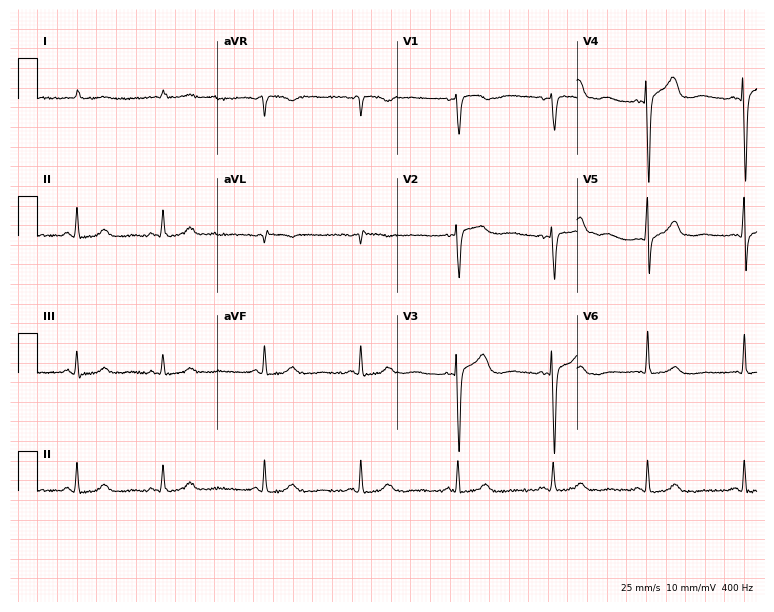
Resting 12-lead electrocardiogram. Patient: a 78-year-old female. Read as a normal ECG.